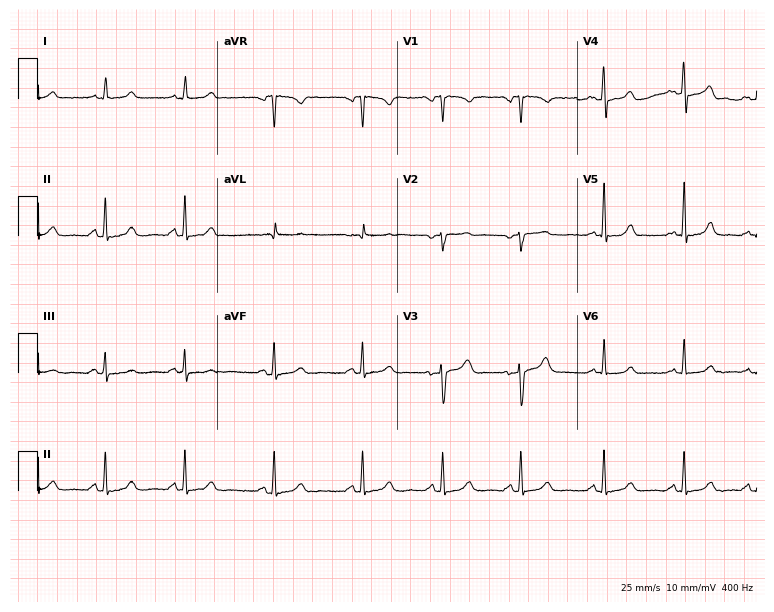
12-lead ECG from a 42-year-old woman. No first-degree AV block, right bundle branch block, left bundle branch block, sinus bradycardia, atrial fibrillation or sinus tachycardia recorded for this tracing.